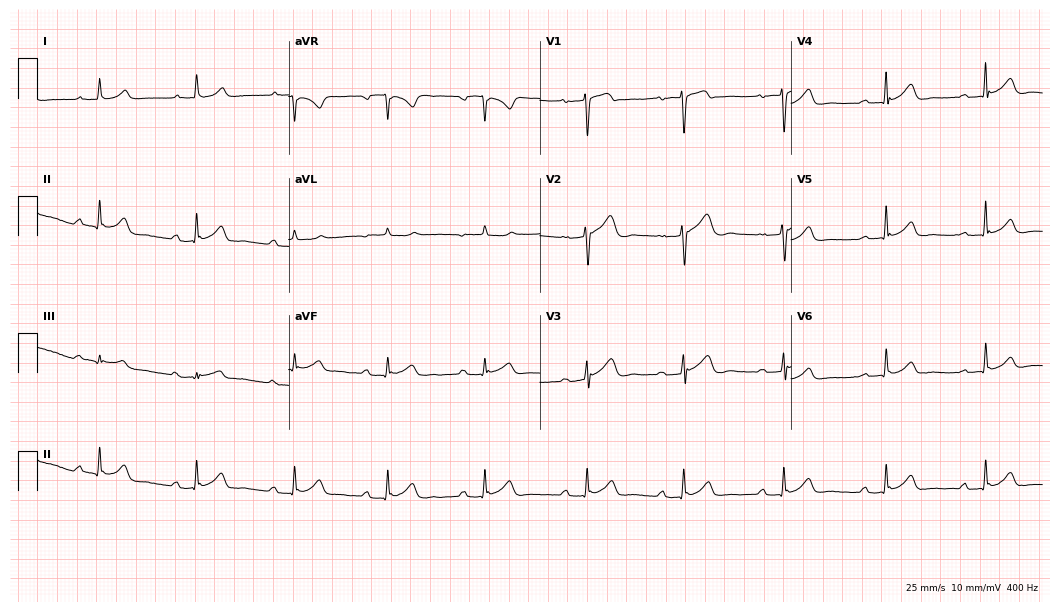
Resting 12-lead electrocardiogram (10.2-second recording at 400 Hz). Patient: a woman, 59 years old. The tracing shows first-degree AV block.